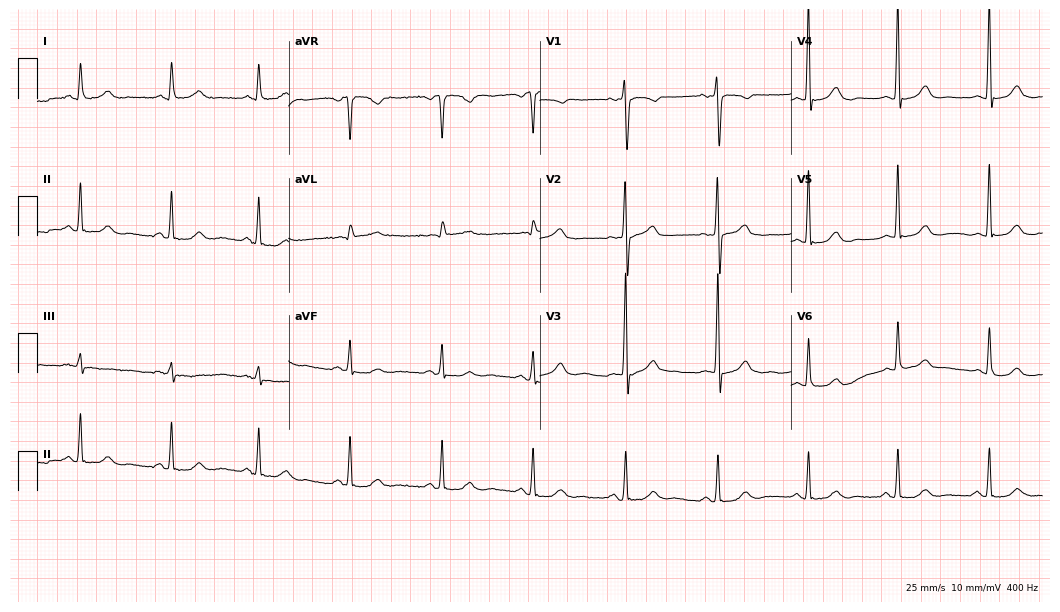
ECG (10.2-second recording at 400 Hz) — a female patient, 73 years old. Labelled as a normal ECG.